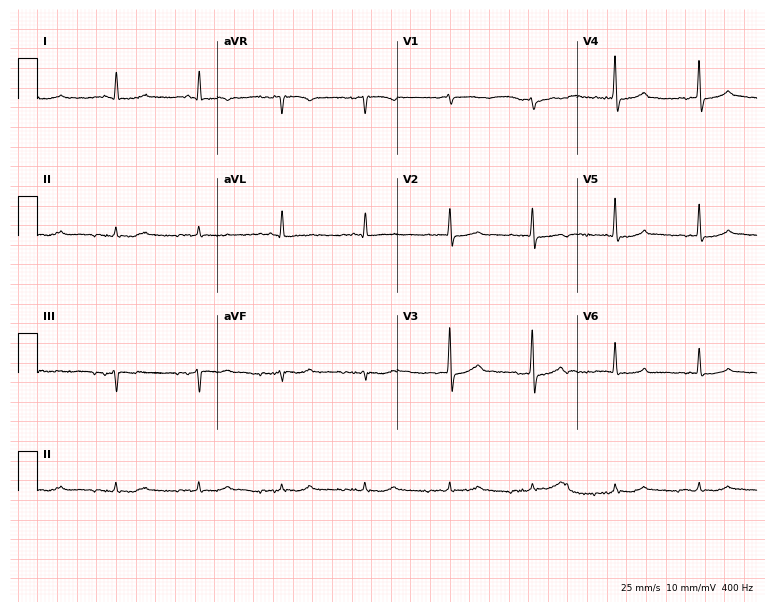
Electrocardiogram, a 79-year-old male. Of the six screened findings (first-degree AV block, right bundle branch block, left bundle branch block, sinus bradycardia, atrial fibrillation, sinus tachycardia), none is recorded. Only these six findings were labelled.